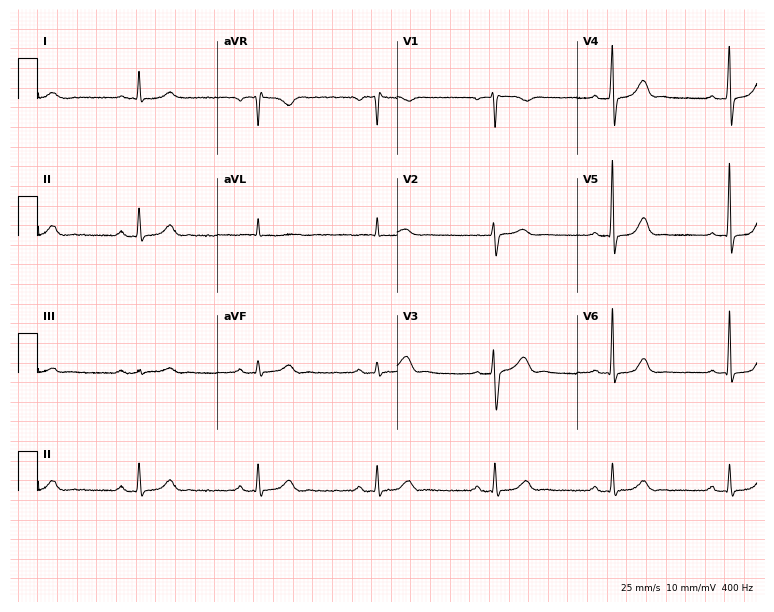
12-lead ECG from a man, 69 years old (7.3-second recording at 400 Hz). Recorded interpretation: within normal limits.